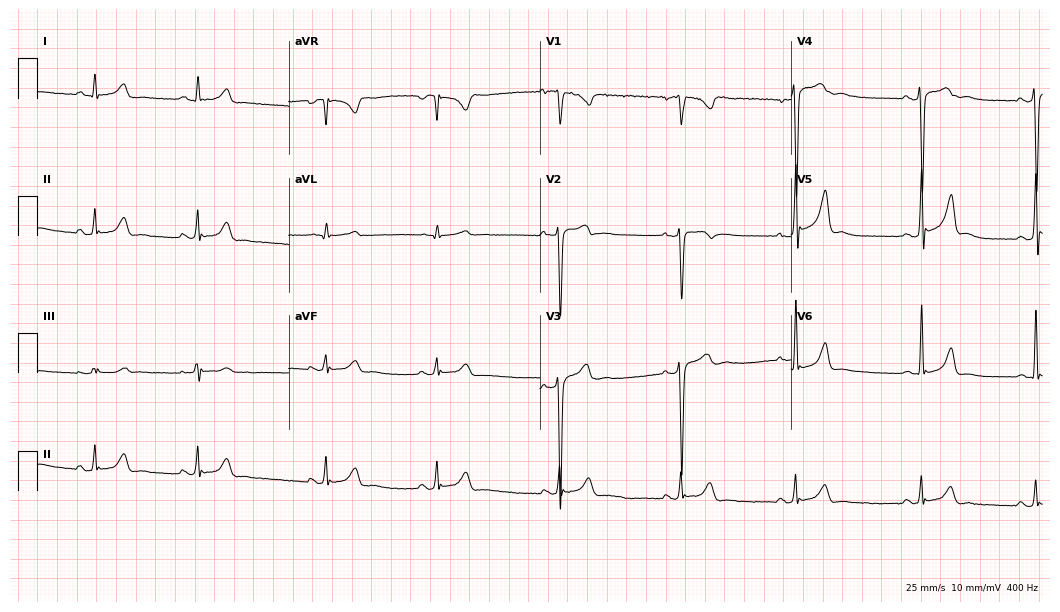
12-lead ECG from a man, 18 years old. Labelled as a normal ECG.